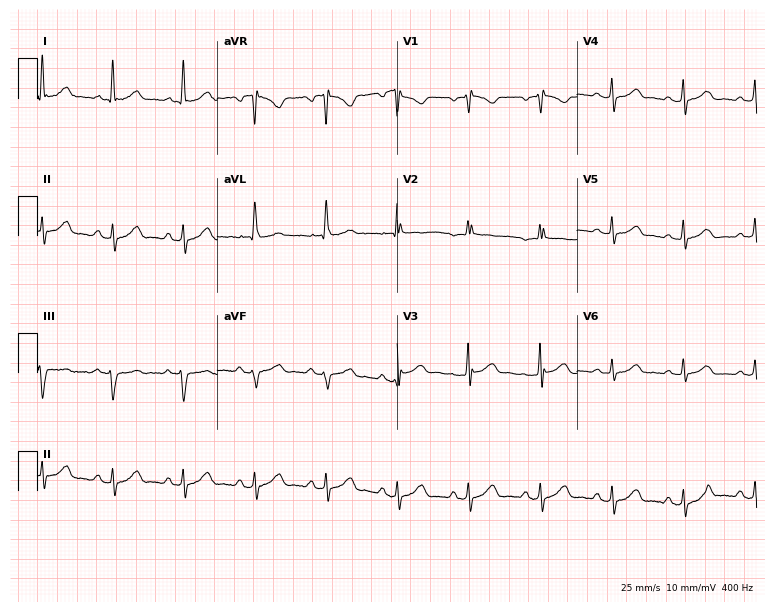
12-lead ECG from a female, 54 years old. Screened for six findings — first-degree AV block, right bundle branch block (RBBB), left bundle branch block (LBBB), sinus bradycardia, atrial fibrillation (AF), sinus tachycardia — none is recorded.